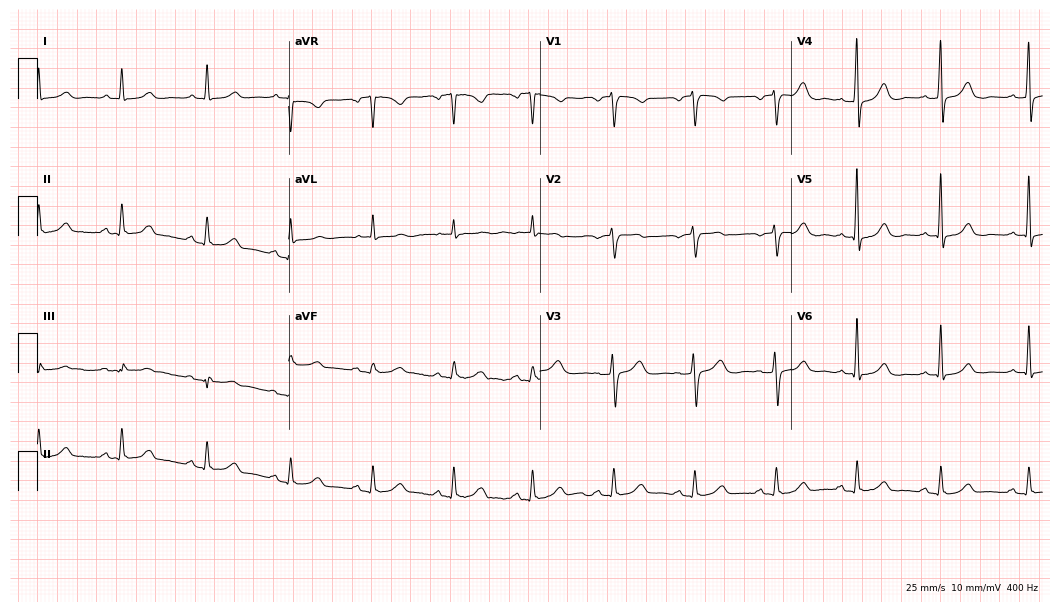
ECG (10.2-second recording at 400 Hz) — a woman, 65 years old. Screened for six findings — first-degree AV block, right bundle branch block, left bundle branch block, sinus bradycardia, atrial fibrillation, sinus tachycardia — none is recorded. Findings outside these six are not listed.